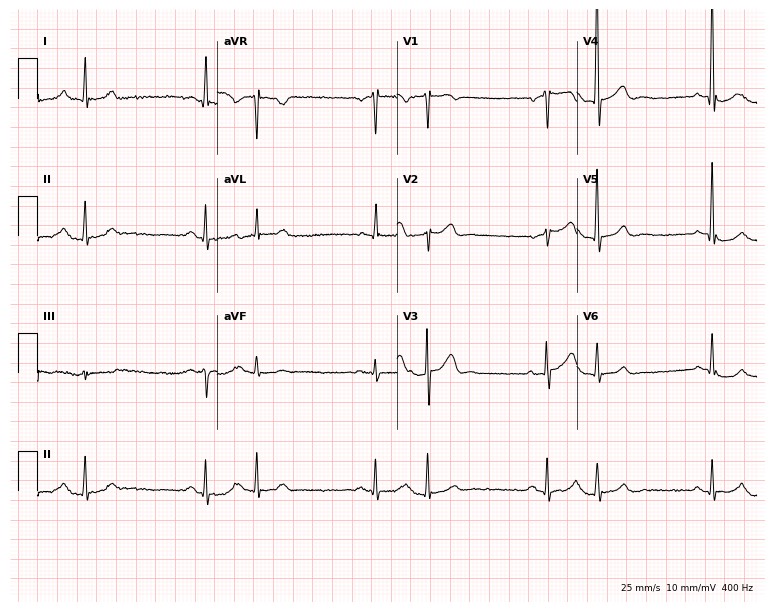
12-lead ECG from a man, 65 years old. No first-degree AV block, right bundle branch block, left bundle branch block, sinus bradycardia, atrial fibrillation or sinus tachycardia recorded for this tracing.